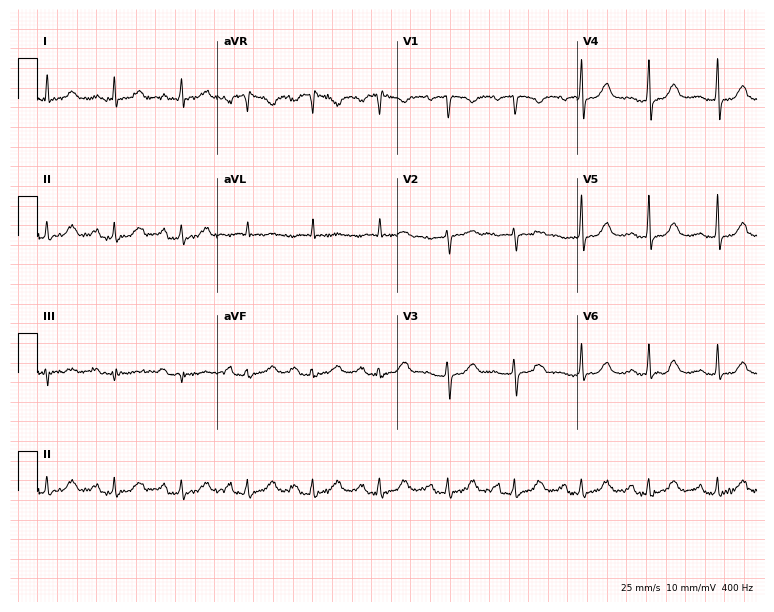
12-lead ECG from a 56-year-old female patient (7.3-second recording at 400 Hz). No first-degree AV block, right bundle branch block (RBBB), left bundle branch block (LBBB), sinus bradycardia, atrial fibrillation (AF) or sinus tachycardia recorded for this tracing.